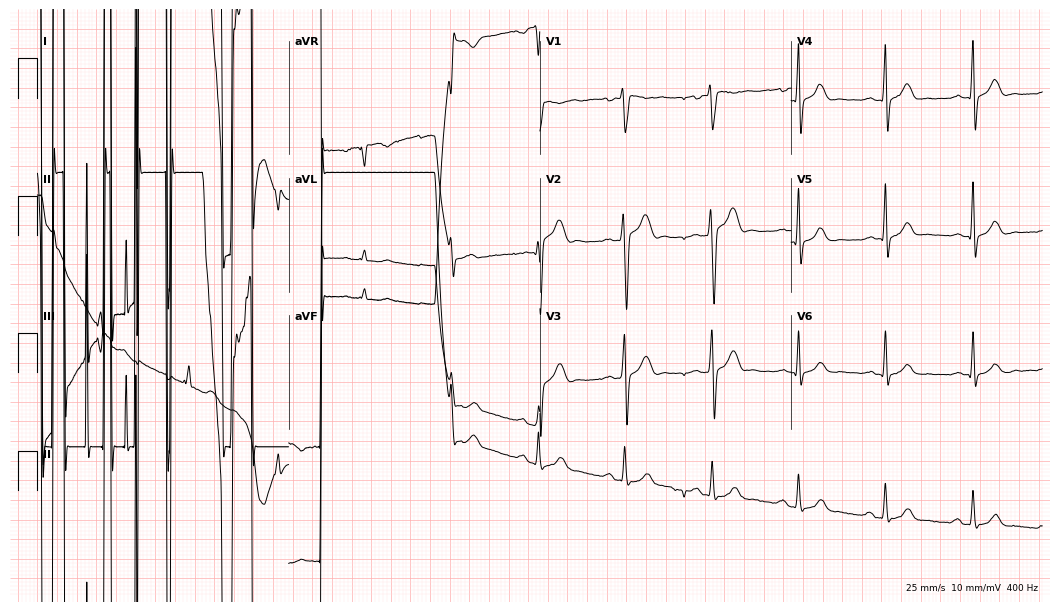
Standard 12-lead ECG recorded from a 20-year-old woman (10.2-second recording at 400 Hz). Read as a normal ECG.